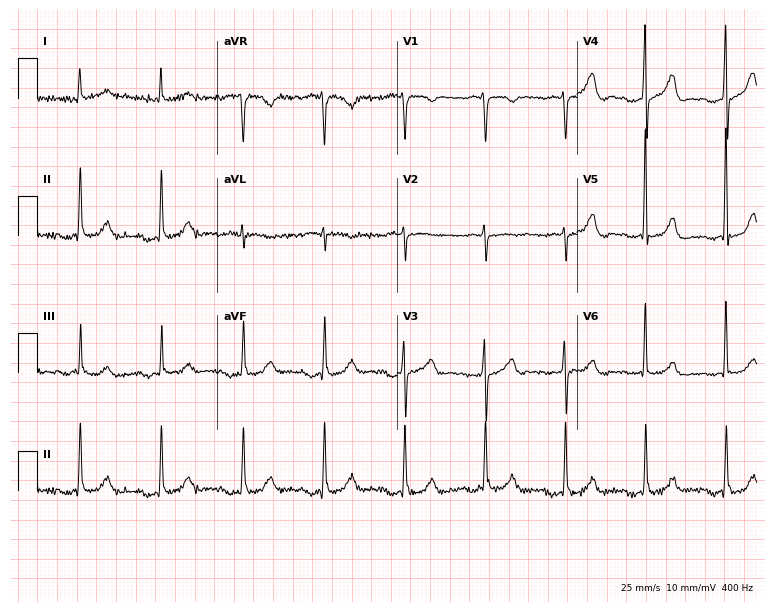
ECG (7.3-second recording at 400 Hz) — a female, 72 years old. Findings include first-degree AV block.